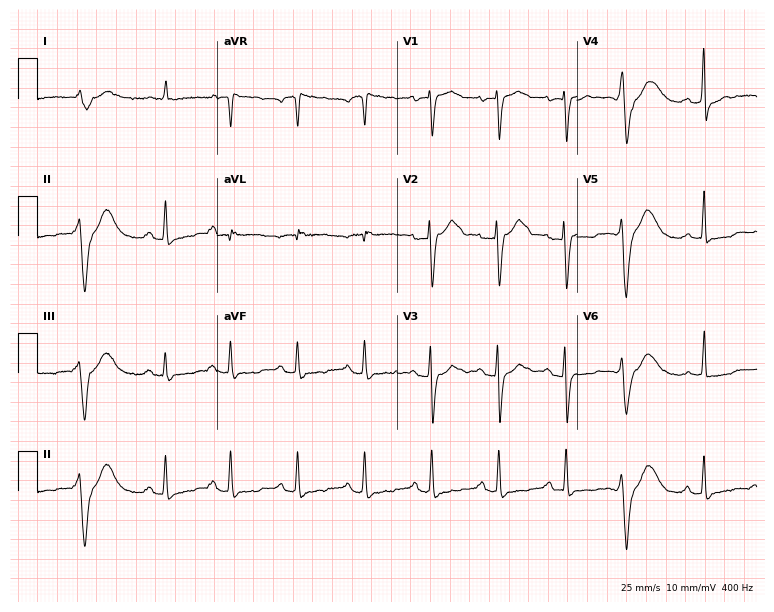
Standard 12-lead ECG recorded from a 78-year-old woman (7.3-second recording at 400 Hz). None of these six findings is recorded: first-degree AV block, right bundle branch block, left bundle branch block, sinus bradycardia, atrial fibrillation, sinus tachycardia. Findings outside these six are not listed.